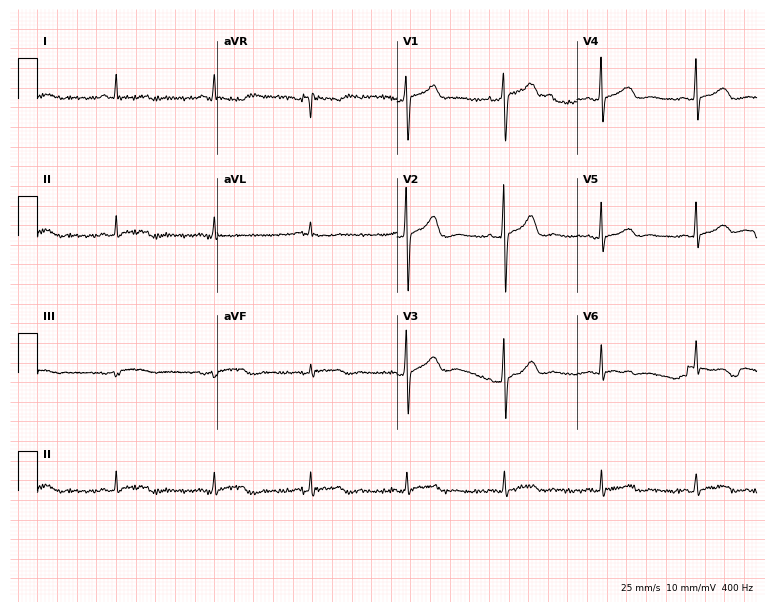
ECG (7.3-second recording at 400 Hz) — a female, 44 years old. Screened for six findings — first-degree AV block, right bundle branch block, left bundle branch block, sinus bradycardia, atrial fibrillation, sinus tachycardia — none is recorded. Only these six findings were labelled.